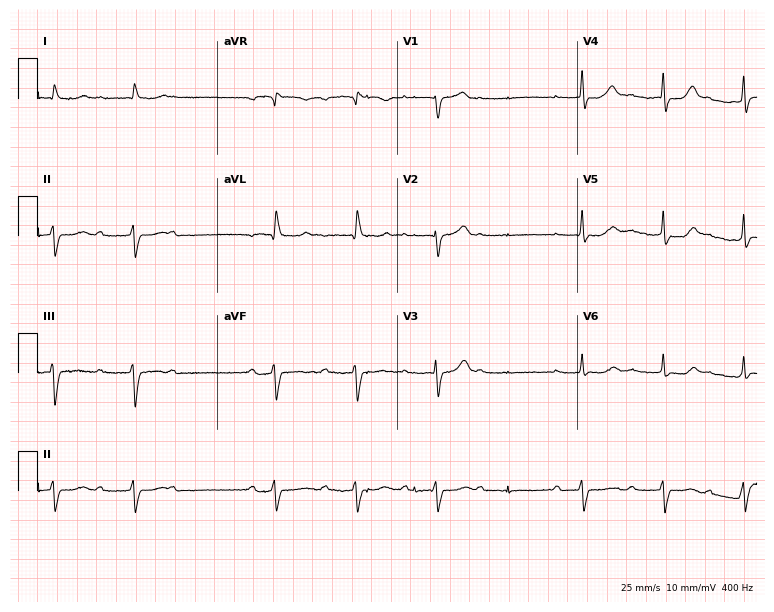
12-lead ECG (7.3-second recording at 400 Hz) from a male, 83 years old. Findings include first-degree AV block, atrial fibrillation.